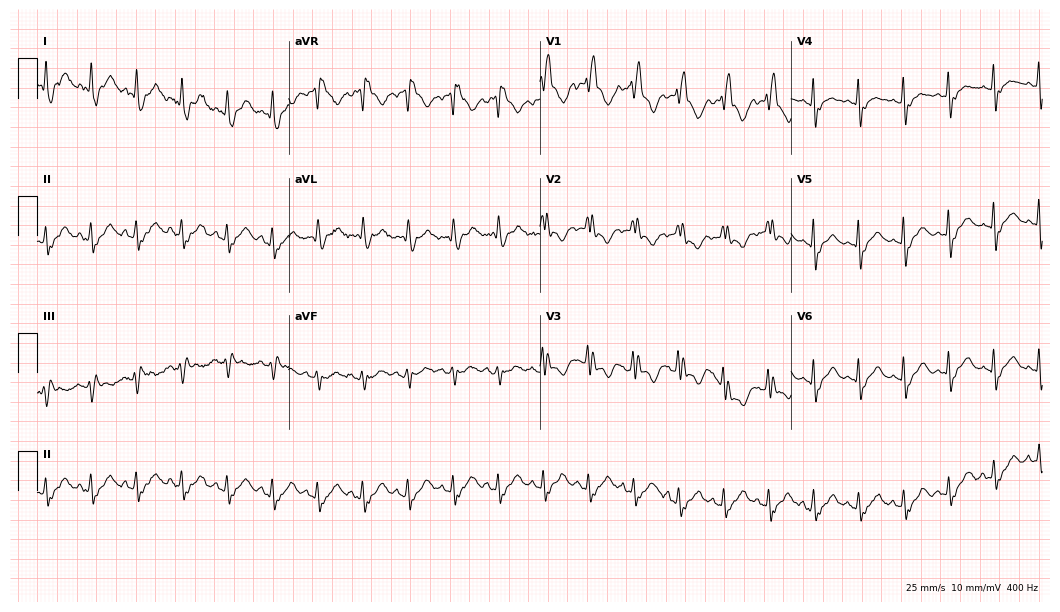
Resting 12-lead electrocardiogram (10.2-second recording at 400 Hz). Patient: a 55-year-old female. The tracing shows right bundle branch block (RBBB).